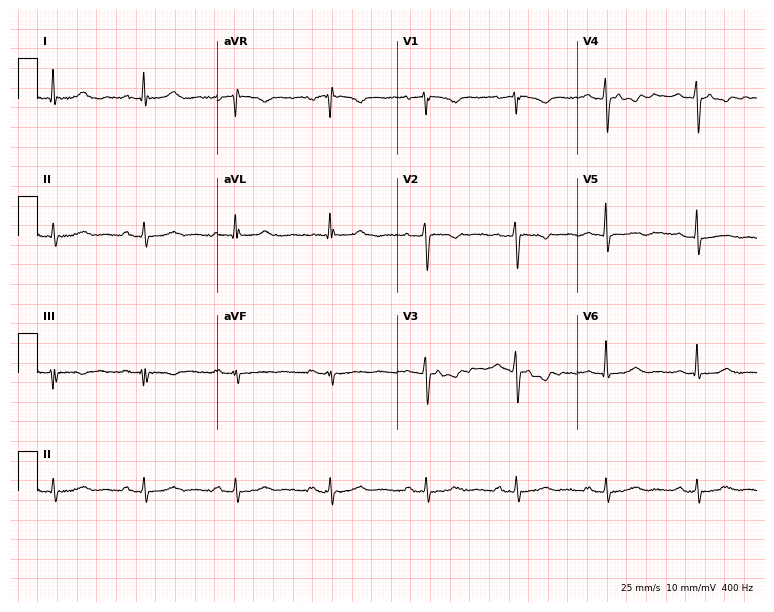
ECG — a female, 46 years old. Screened for six findings — first-degree AV block, right bundle branch block, left bundle branch block, sinus bradycardia, atrial fibrillation, sinus tachycardia — none is recorded.